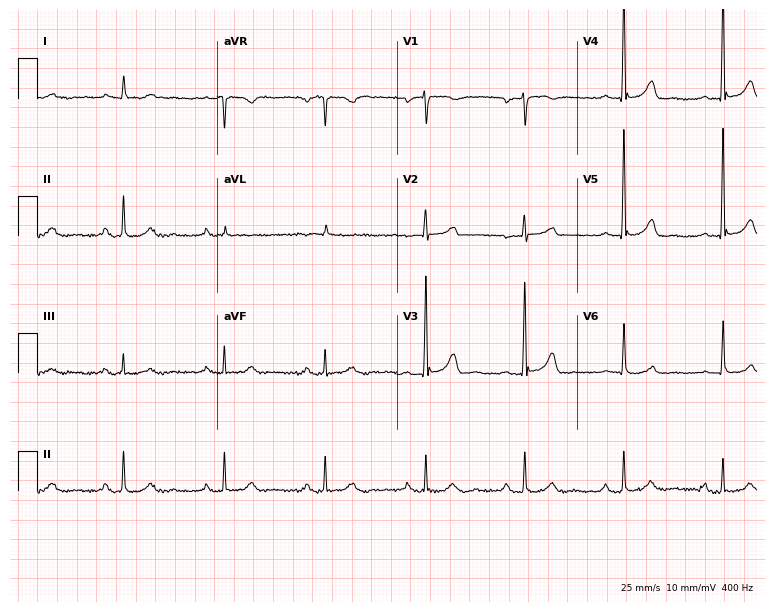
12-lead ECG from a woman, 82 years old. Labelled as a normal ECG.